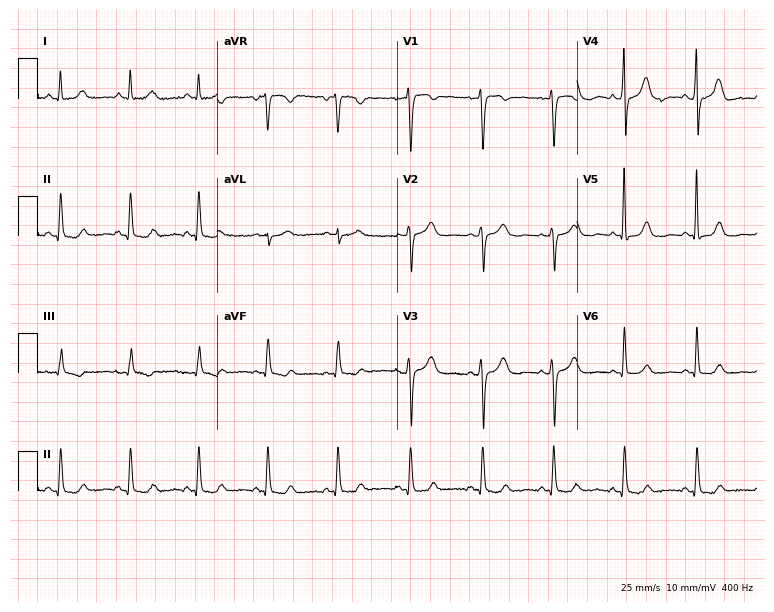
Electrocardiogram, a 53-year-old female. Overall reading on record: normal ECG.